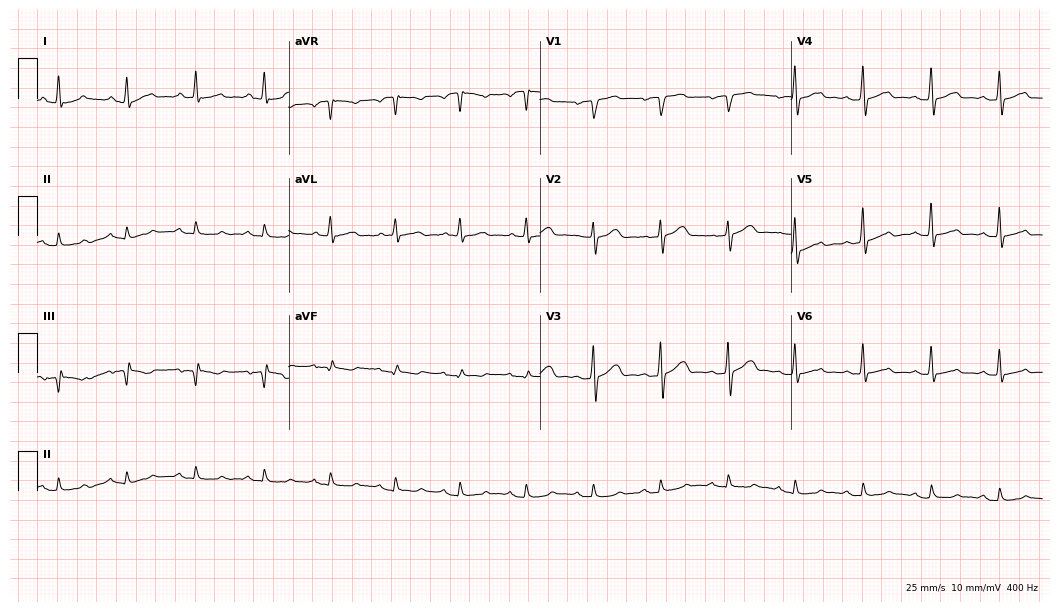
Electrocardiogram (10.2-second recording at 400 Hz), a male patient, 53 years old. Overall reading on record: normal ECG.